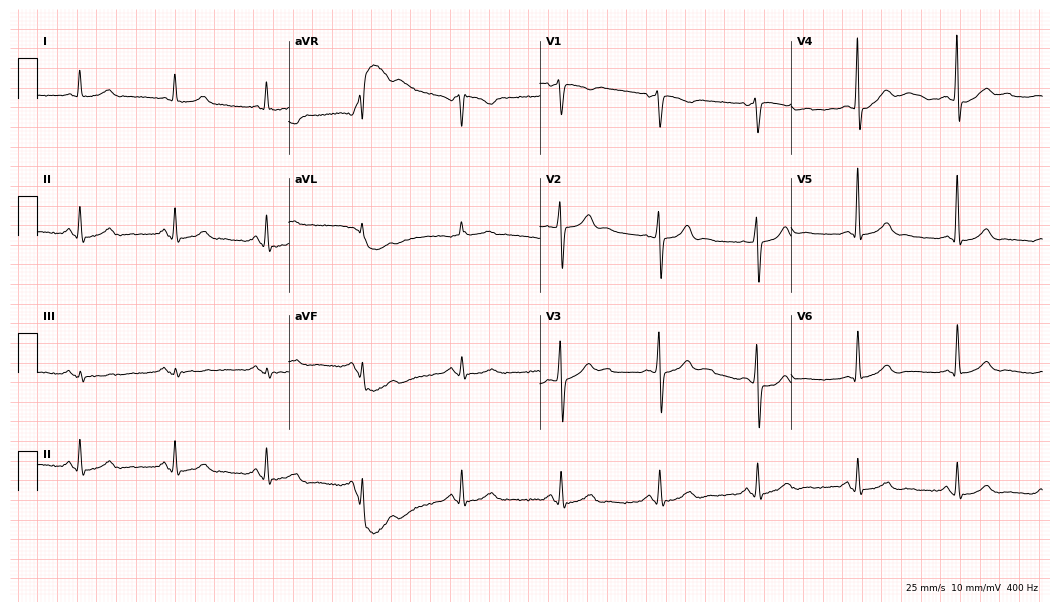
Standard 12-lead ECG recorded from a 35-year-old male patient (10.2-second recording at 400 Hz). Read as a normal ECG.